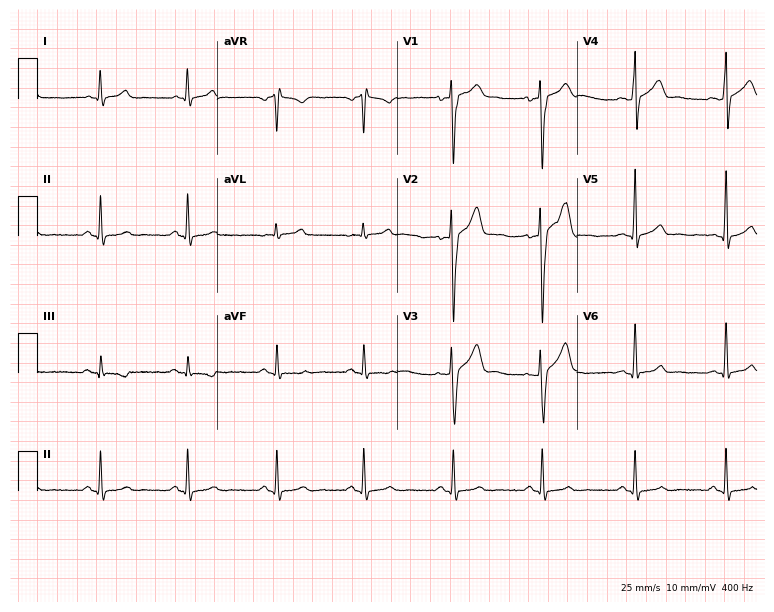
Resting 12-lead electrocardiogram. Patient: a 25-year-old male. Read as a normal ECG.